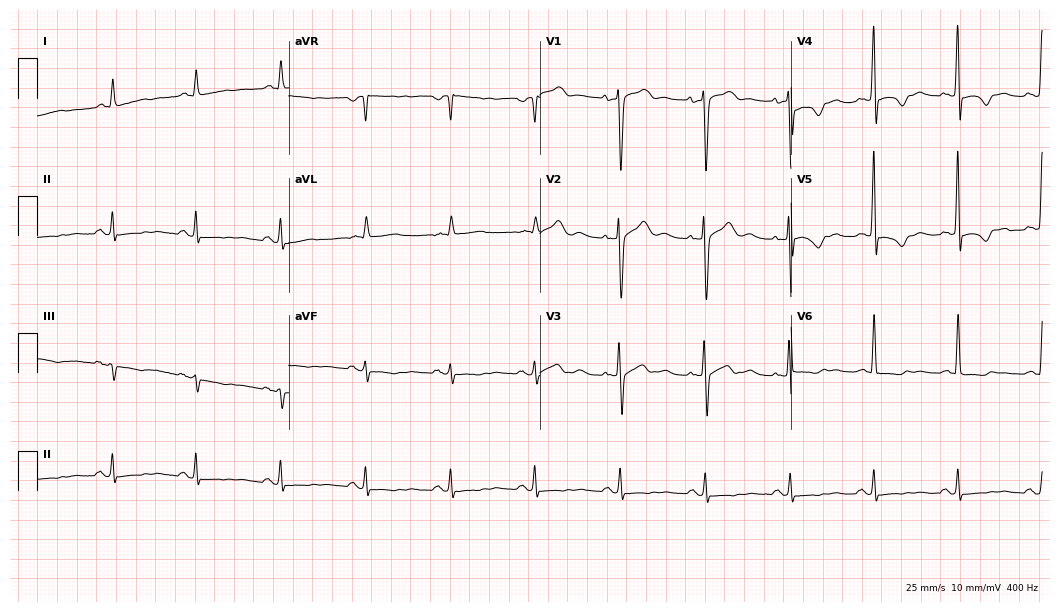
12-lead ECG from a 70-year-old man (10.2-second recording at 400 Hz). No first-degree AV block, right bundle branch block, left bundle branch block, sinus bradycardia, atrial fibrillation or sinus tachycardia recorded for this tracing.